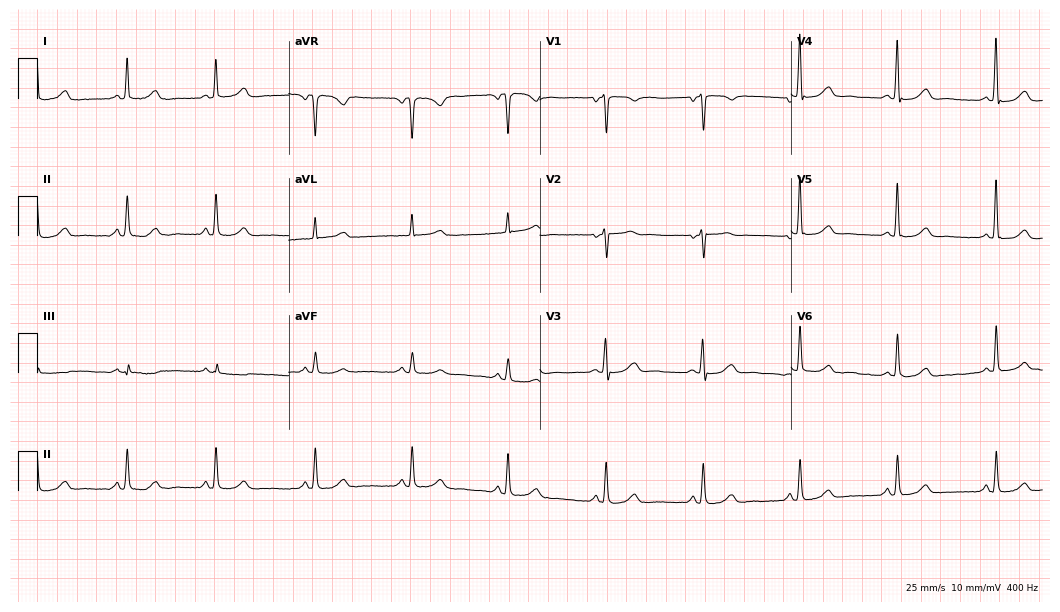
Resting 12-lead electrocardiogram. Patient: a 60-year-old female. Read as a normal ECG.